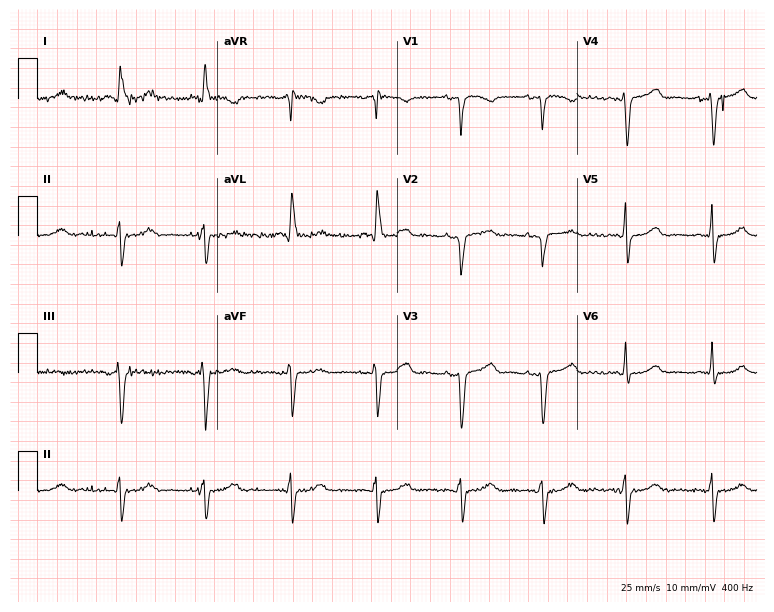
Standard 12-lead ECG recorded from a 42-year-old female patient (7.3-second recording at 400 Hz). None of these six findings is recorded: first-degree AV block, right bundle branch block, left bundle branch block, sinus bradycardia, atrial fibrillation, sinus tachycardia. Findings outside these six are not listed.